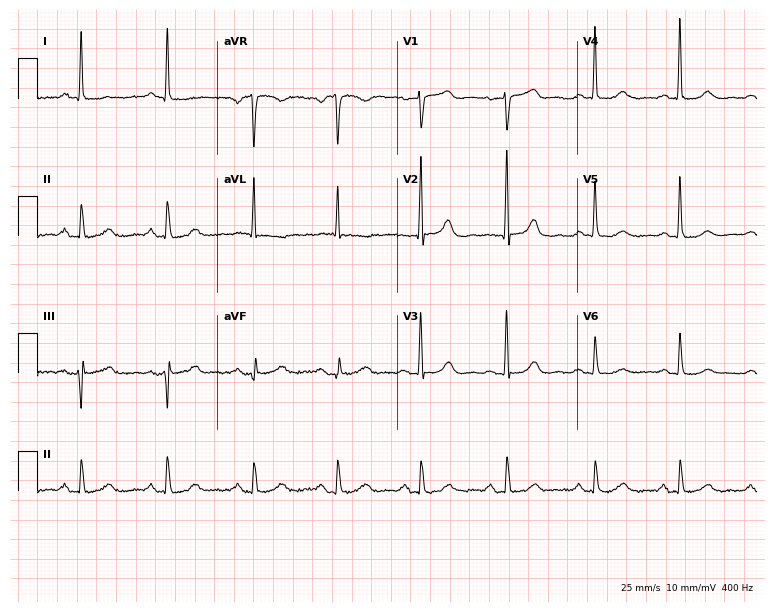
ECG — a female patient, 83 years old. Labelled as a normal ECG.